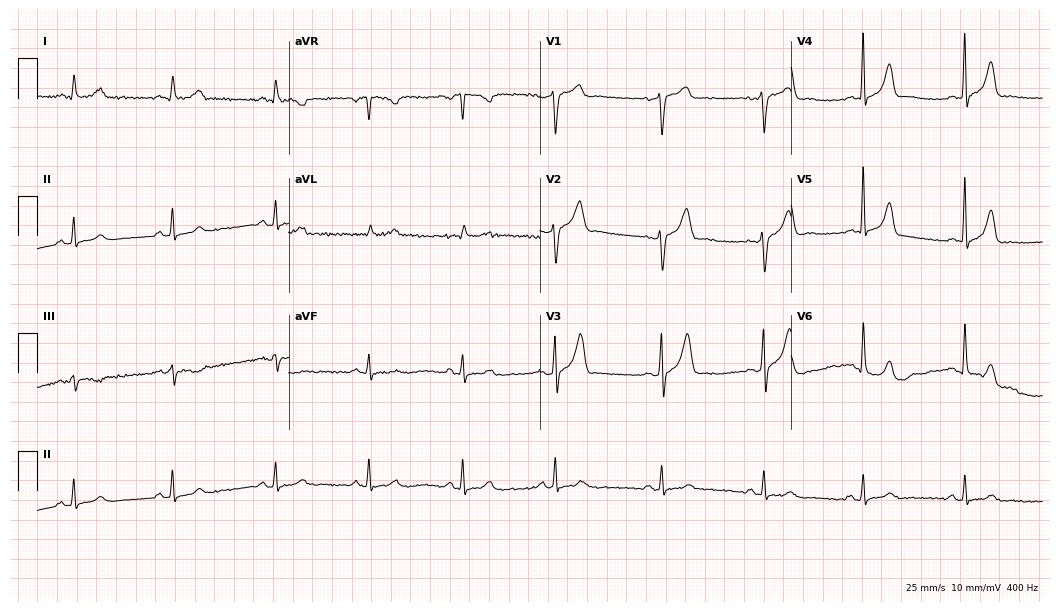
Resting 12-lead electrocardiogram (10.2-second recording at 400 Hz). Patient: a 62-year-old man. Read as a normal ECG.